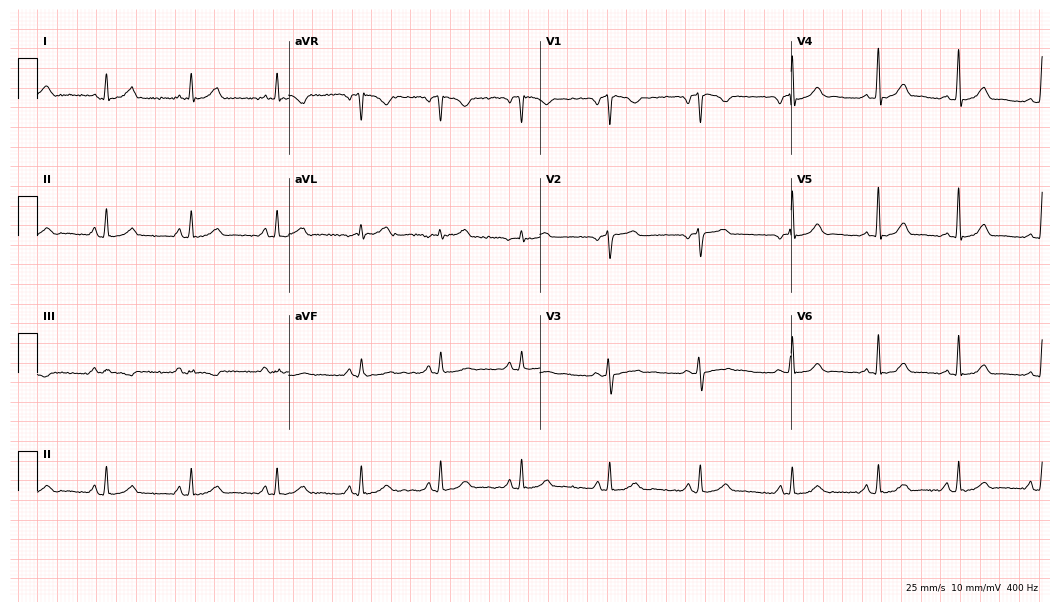
Resting 12-lead electrocardiogram. Patient: a woman, 45 years old. None of these six findings is recorded: first-degree AV block, right bundle branch block, left bundle branch block, sinus bradycardia, atrial fibrillation, sinus tachycardia.